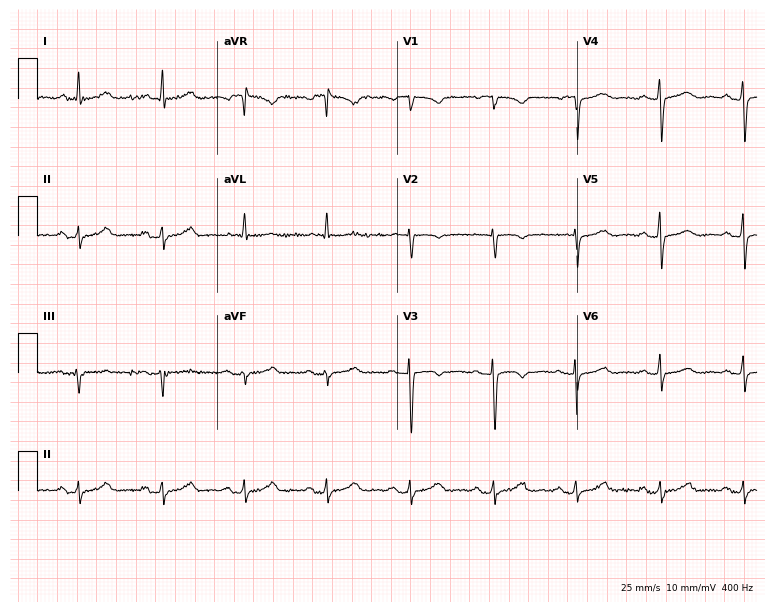
Standard 12-lead ECG recorded from a 78-year-old woman. Read as a normal ECG.